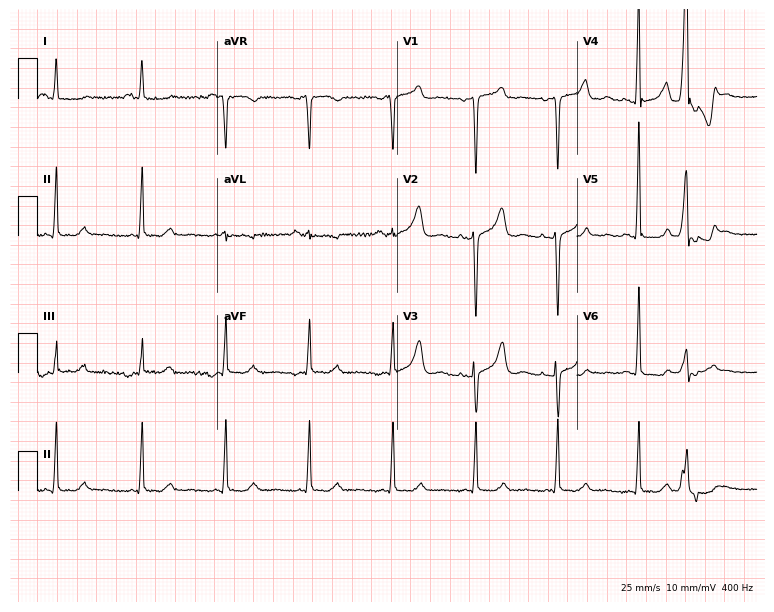
Standard 12-lead ECG recorded from a female, 57 years old. None of these six findings is recorded: first-degree AV block, right bundle branch block, left bundle branch block, sinus bradycardia, atrial fibrillation, sinus tachycardia. Only these six findings were labelled.